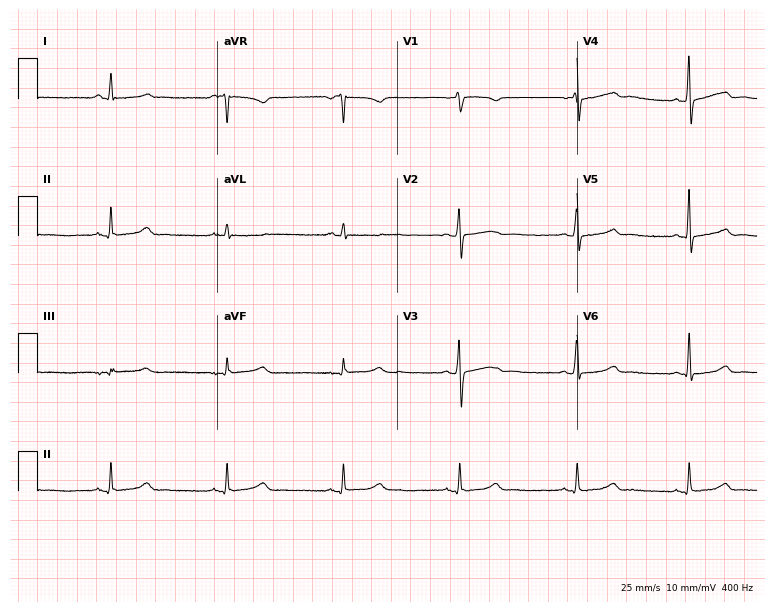
Resting 12-lead electrocardiogram (7.3-second recording at 400 Hz). Patient: a 71-year-old woman. None of these six findings is recorded: first-degree AV block, right bundle branch block, left bundle branch block, sinus bradycardia, atrial fibrillation, sinus tachycardia.